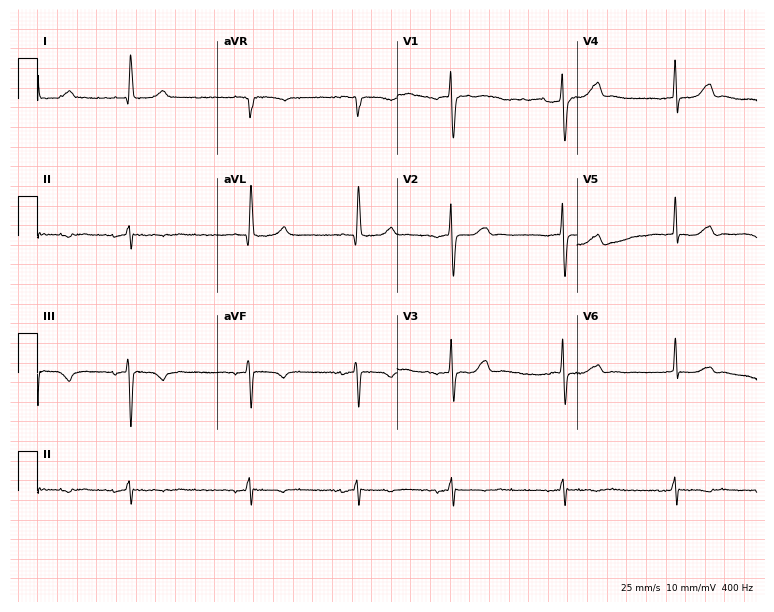
12-lead ECG from a woman, 86 years old (7.3-second recording at 400 Hz). No first-degree AV block, right bundle branch block, left bundle branch block, sinus bradycardia, atrial fibrillation or sinus tachycardia recorded for this tracing. Findings outside these six are not listed.